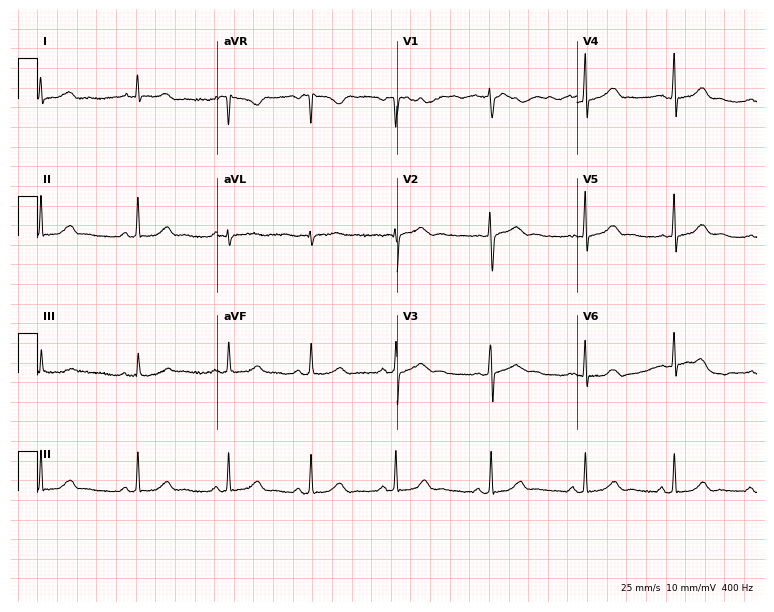
Electrocardiogram (7.3-second recording at 400 Hz), a female patient, 21 years old. Overall reading on record: normal ECG.